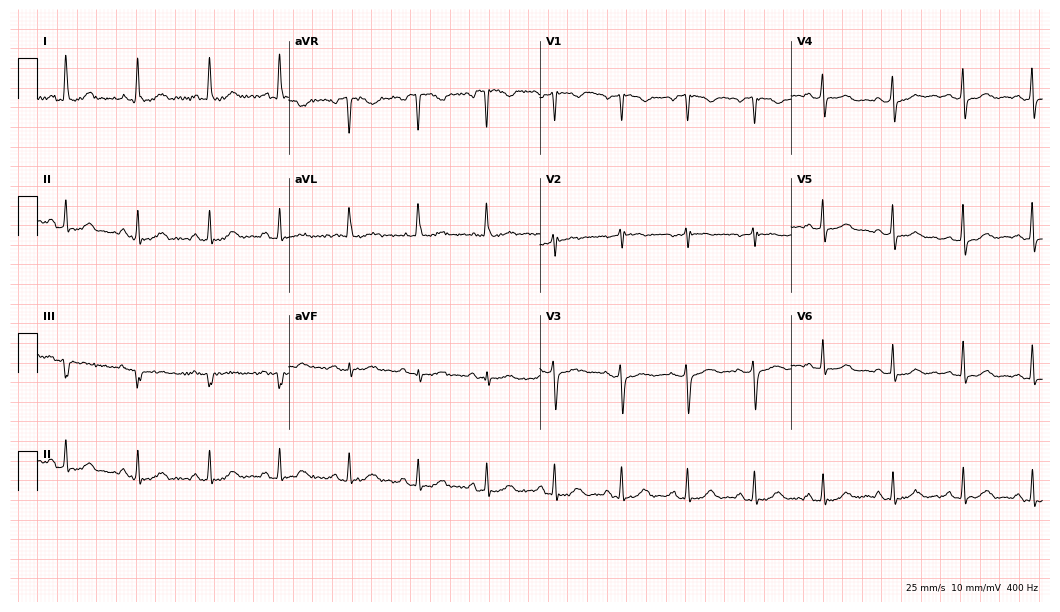
Electrocardiogram, a 67-year-old female. Overall reading on record: normal ECG.